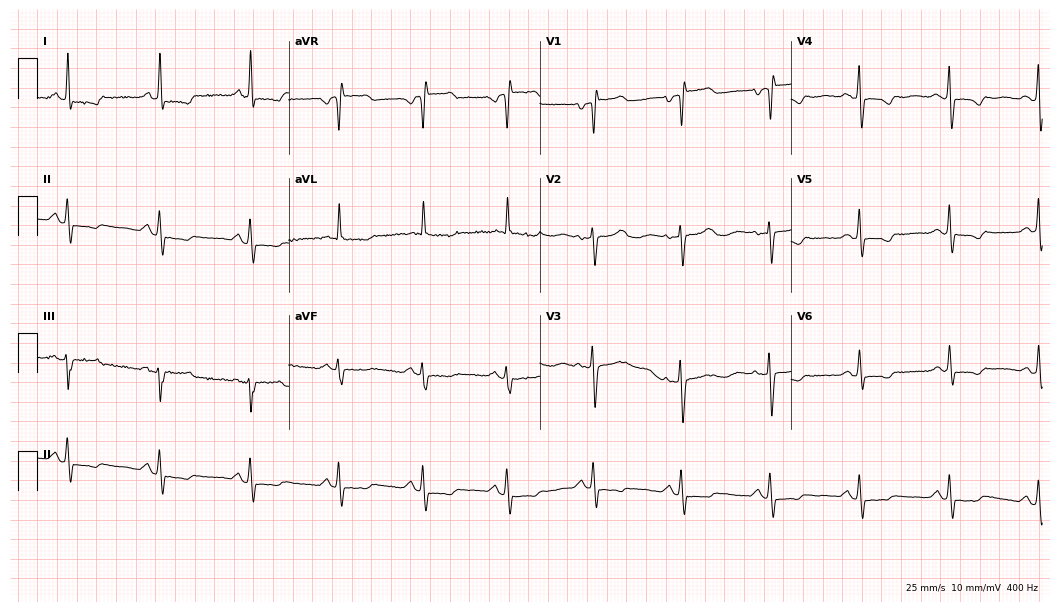
12-lead ECG from a female, 60 years old (10.2-second recording at 400 Hz). No first-degree AV block, right bundle branch block, left bundle branch block, sinus bradycardia, atrial fibrillation or sinus tachycardia recorded for this tracing.